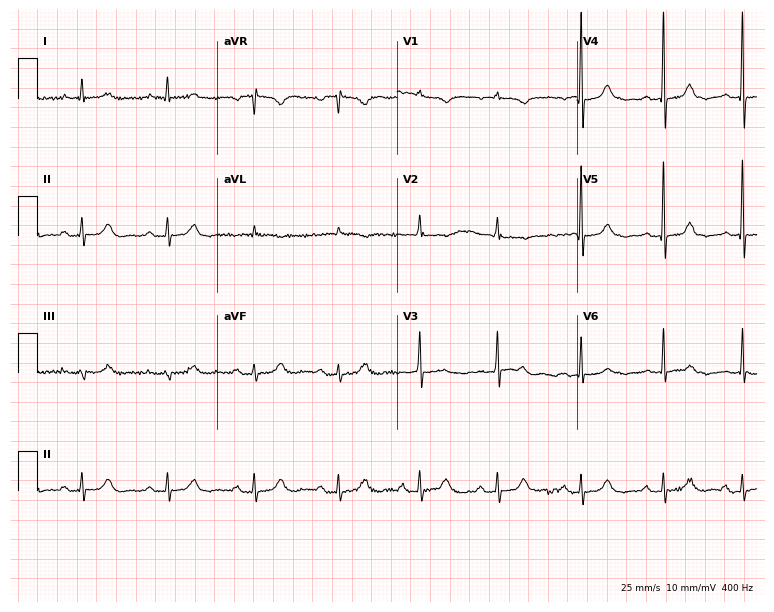
Resting 12-lead electrocardiogram. Patient: a female, 81 years old. None of these six findings is recorded: first-degree AV block, right bundle branch block (RBBB), left bundle branch block (LBBB), sinus bradycardia, atrial fibrillation (AF), sinus tachycardia. Only these six findings were labelled.